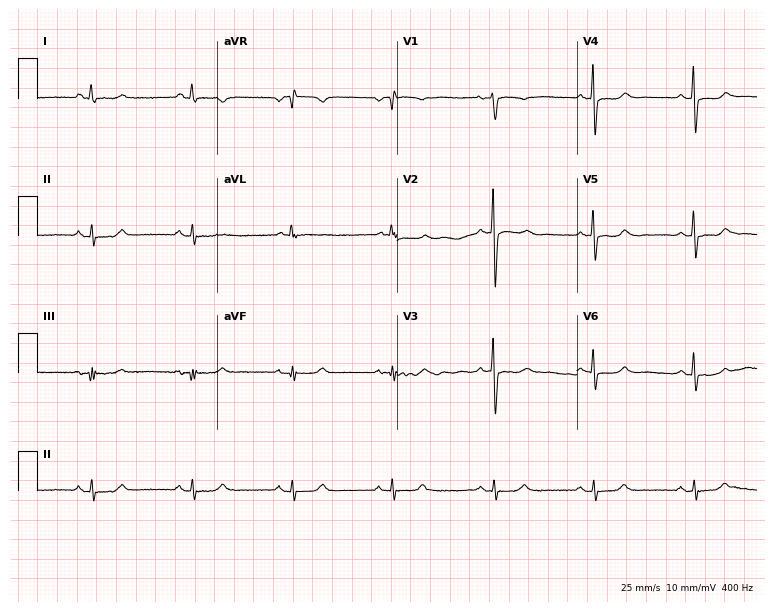
12-lead ECG (7.3-second recording at 400 Hz) from a 50-year-old female patient. Screened for six findings — first-degree AV block, right bundle branch block, left bundle branch block, sinus bradycardia, atrial fibrillation, sinus tachycardia — none is recorded. Findings outside these six are not listed.